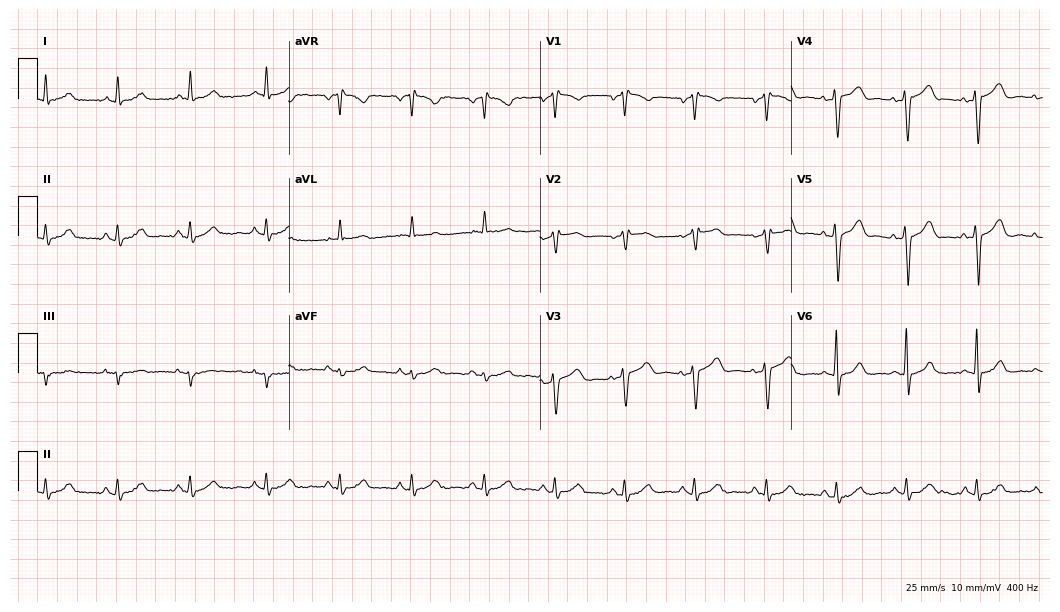
12-lead ECG from a male patient, 55 years old. No first-degree AV block, right bundle branch block (RBBB), left bundle branch block (LBBB), sinus bradycardia, atrial fibrillation (AF) or sinus tachycardia recorded for this tracing.